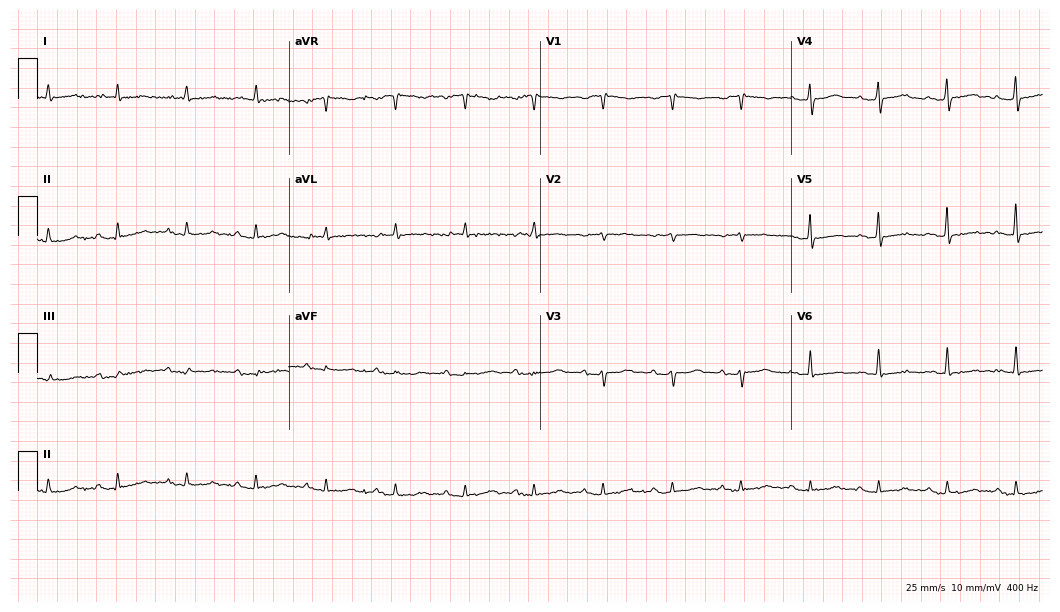
12-lead ECG from a 79-year-old female. No first-degree AV block, right bundle branch block, left bundle branch block, sinus bradycardia, atrial fibrillation or sinus tachycardia recorded for this tracing. Only these six findings were labelled.